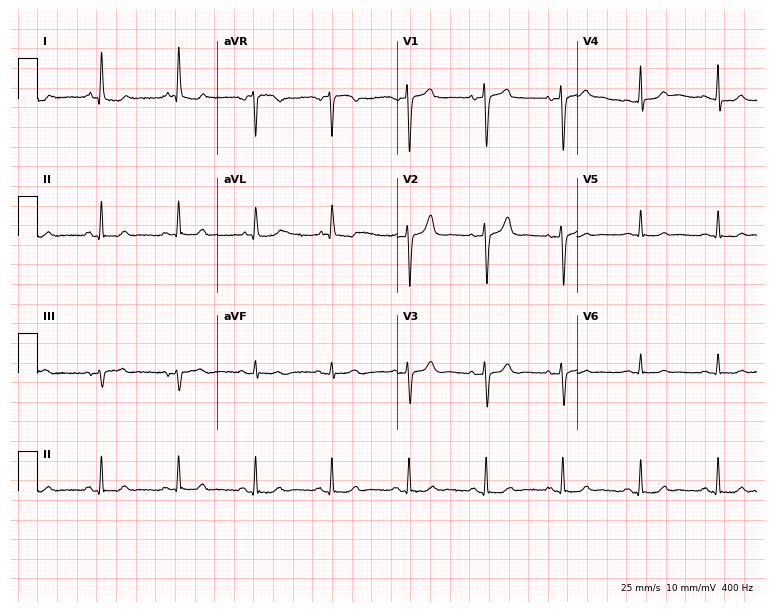
Electrocardiogram (7.3-second recording at 400 Hz), an 80-year-old female. Of the six screened findings (first-degree AV block, right bundle branch block (RBBB), left bundle branch block (LBBB), sinus bradycardia, atrial fibrillation (AF), sinus tachycardia), none is recorded.